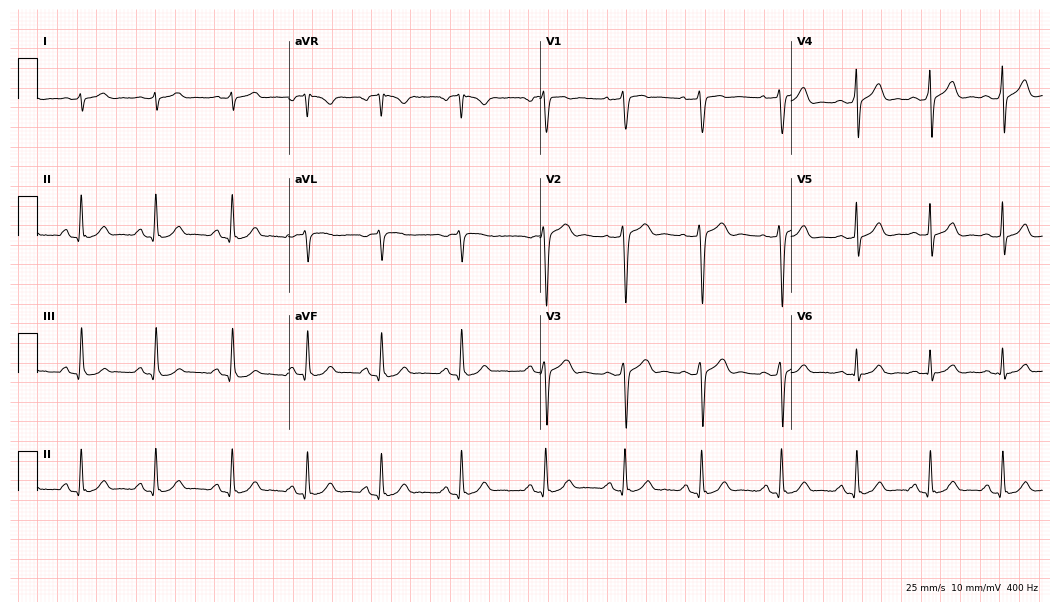
Resting 12-lead electrocardiogram. Patient: a 34-year-old male. Read as a normal ECG.